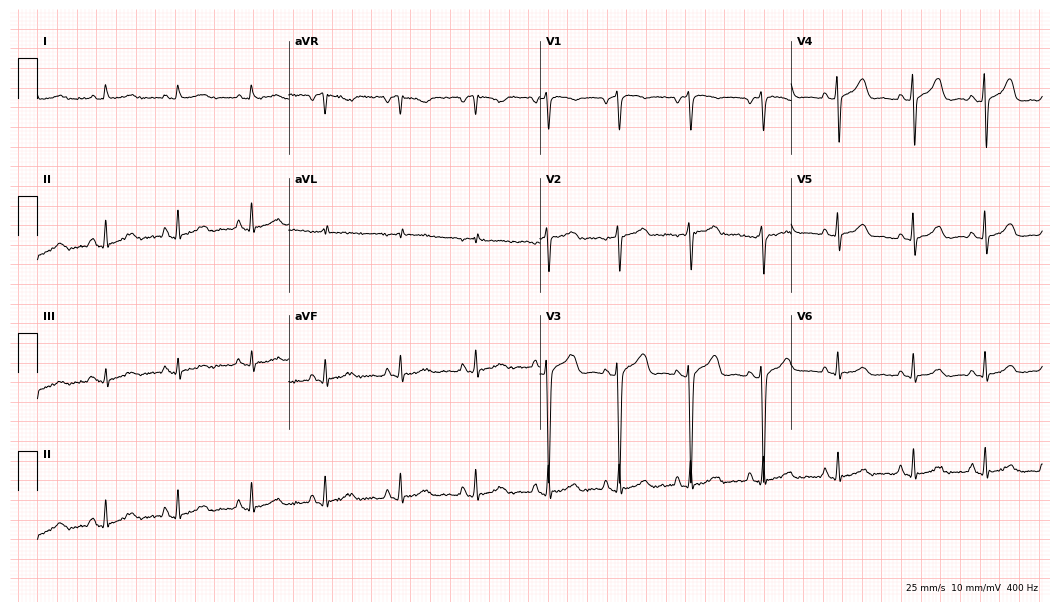
Resting 12-lead electrocardiogram (10.2-second recording at 400 Hz). Patient: a 43-year-old female. None of these six findings is recorded: first-degree AV block, right bundle branch block, left bundle branch block, sinus bradycardia, atrial fibrillation, sinus tachycardia.